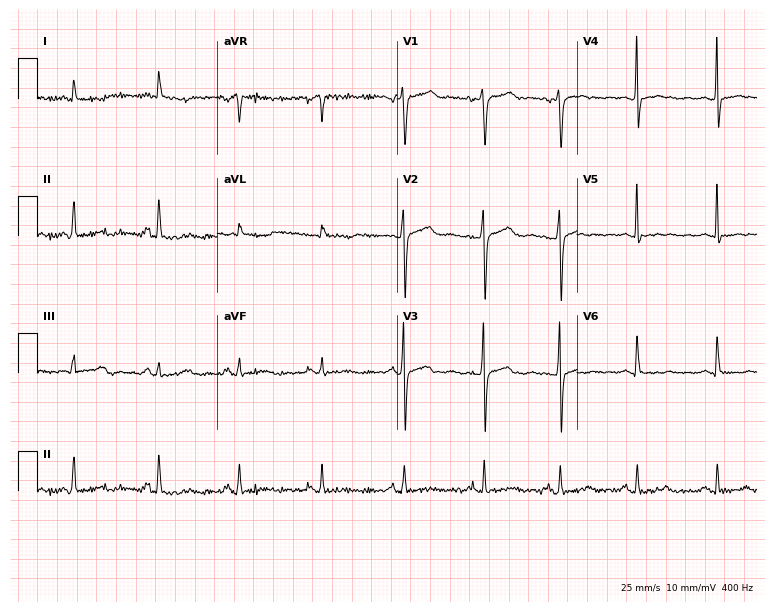
12-lead ECG from a 47-year-old female patient. No first-degree AV block, right bundle branch block, left bundle branch block, sinus bradycardia, atrial fibrillation or sinus tachycardia recorded for this tracing.